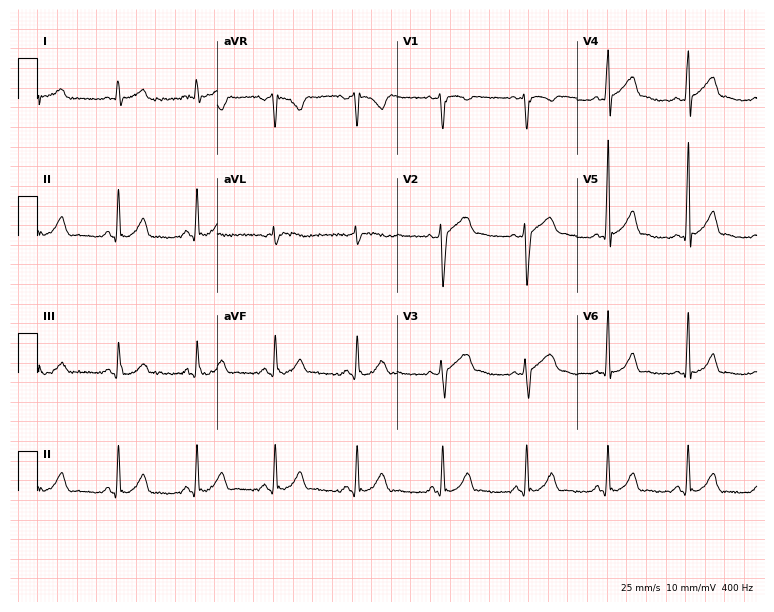
Electrocardiogram, a 35-year-old man. Overall reading on record: normal ECG.